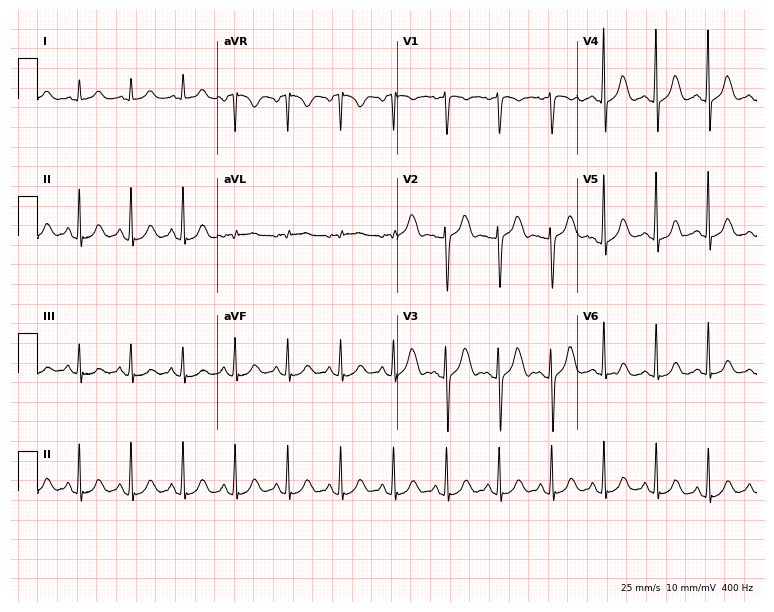
Standard 12-lead ECG recorded from a woman, 51 years old (7.3-second recording at 400 Hz). The tracing shows sinus tachycardia (a sinus rate of 100 beats per minute or more).